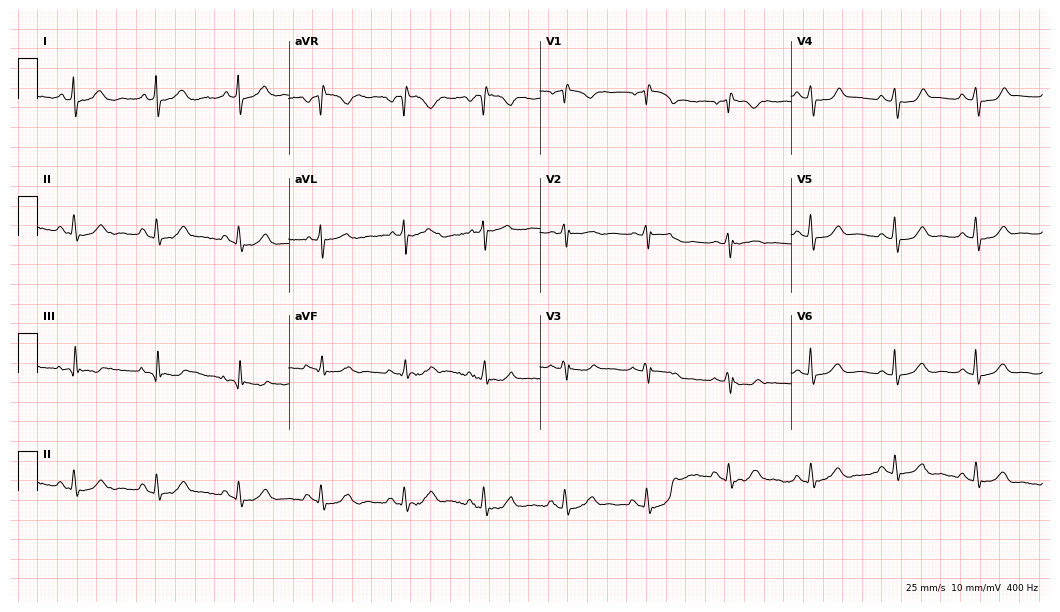
ECG — a 55-year-old woman. Screened for six findings — first-degree AV block, right bundle branch block (RBBB), left bundle branch block (LBBB), sinus bradycardia, atrial fibrillation (AF), sinus tachycardia — none is recorded.